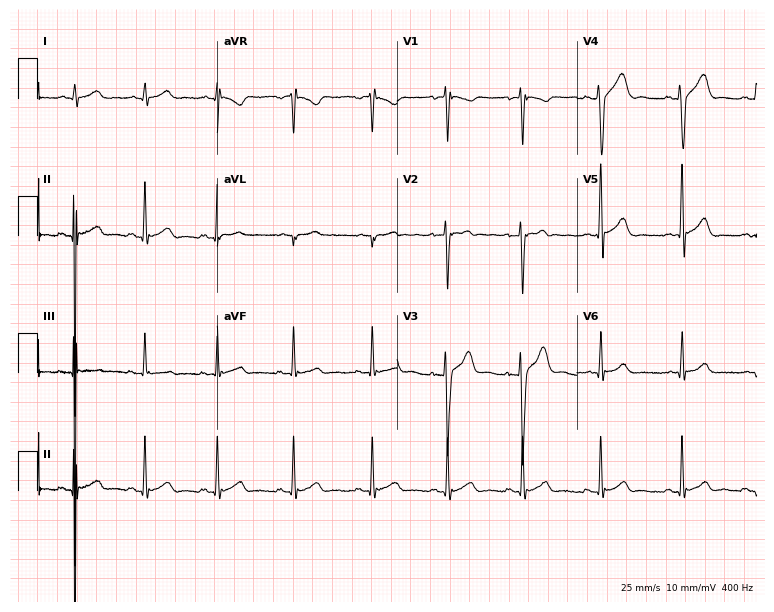
12-lead ECG (7.3-second recording at 400 Hz) from a man, 20 years old. Labelled as a normal ECG.